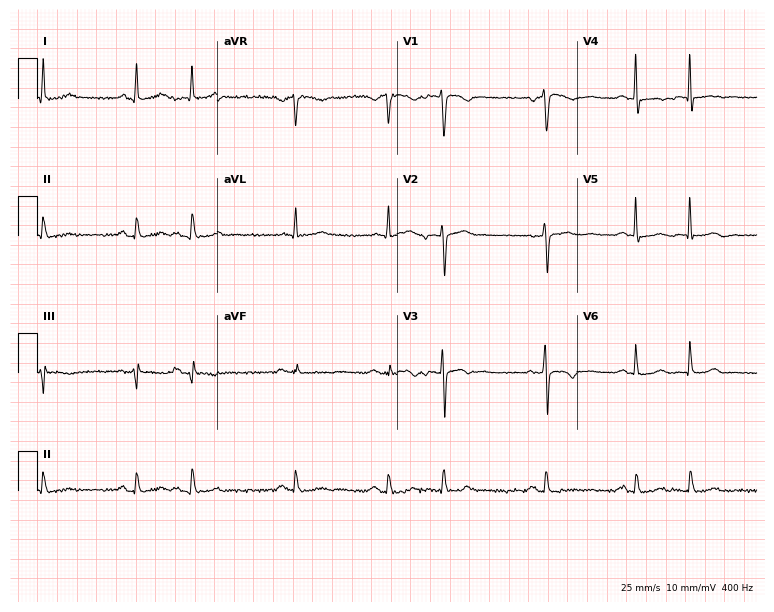
ECG — a 65-year-old male patient. Screened for six findings — first-degree AV block, right bundle branch block, left bundle branch block, sinus bradycardia, atrial fibrillation, sinus tachycardia — none is recorded. Findings outside these six are not listed.